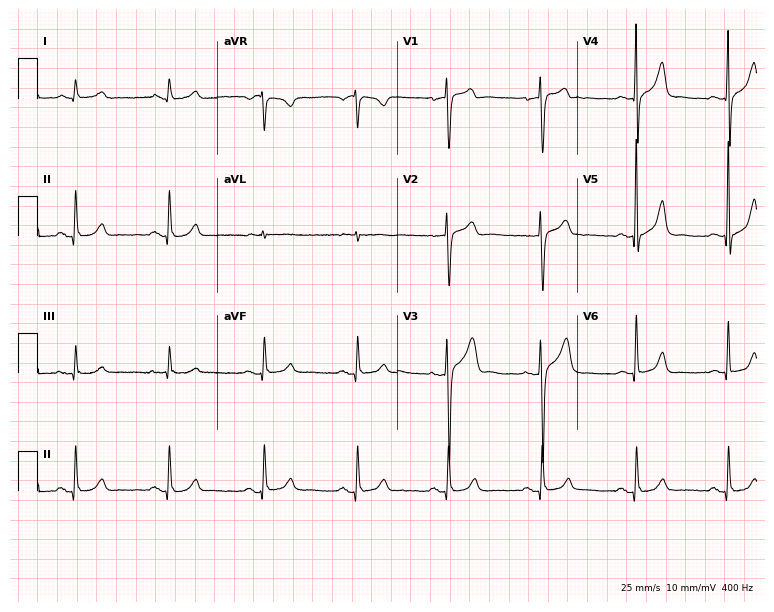
12-lead ECG from a male, 61 years old. Labelled as a normal ECG.